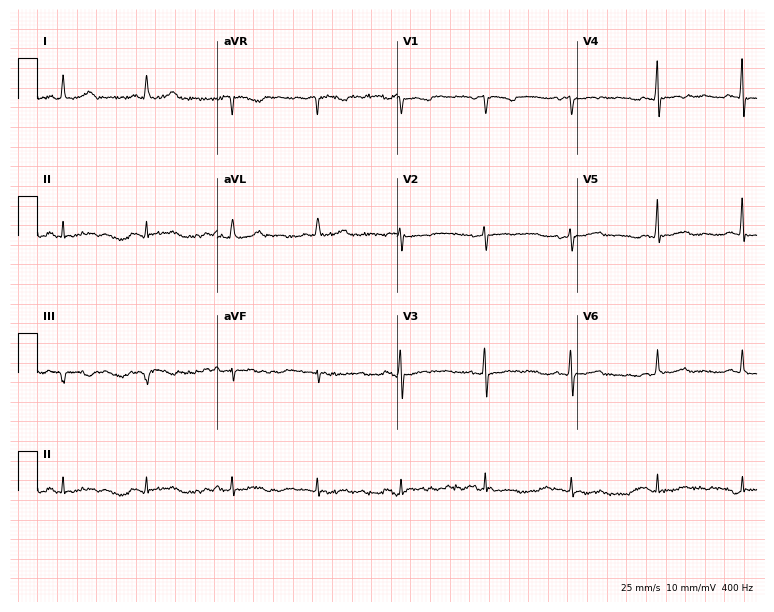
ECG — a female, 66 years old. Screened for six findings — first-degree AV block, right bundle branch block (RBBB), left bundle branch block (LBBB), sinus bradycardia, atrial fibrillation (AF), sinus tachycardia — none is recorded. Other findings, if any, are not listed.